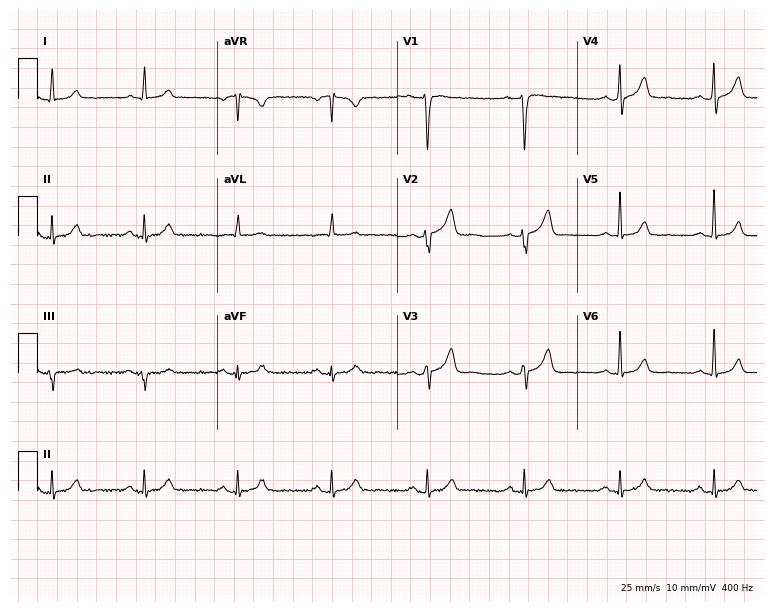
ECG — a man, 66 years old. Labelled as a normal ECG.